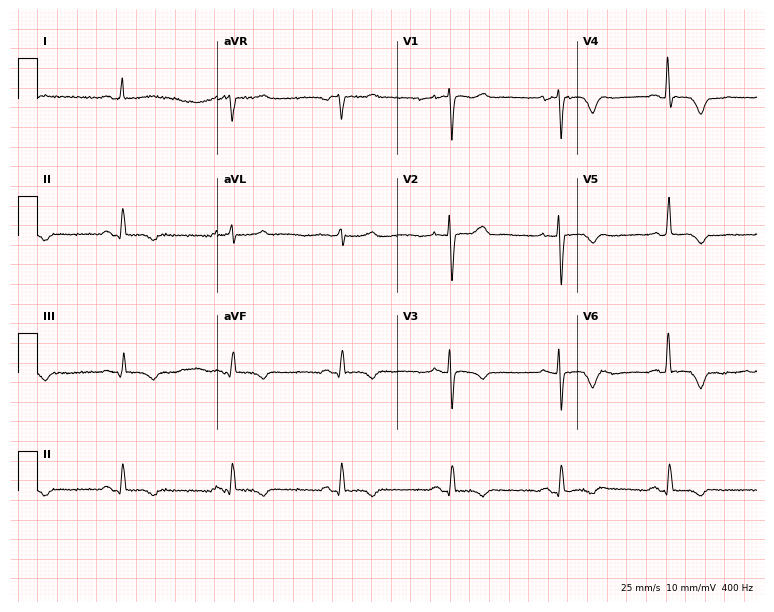
Resting 12-lead electrocardiogram (7.3-second recording at 400 Hz). Patient: a female, 79 years old. None of these six findings is recorded: first-degree AV block, right bundle branch block, left bundle branch block, sinus bradycardia, atrial fibrillation, sinus tachycardia. Findings outside these six are not listed.